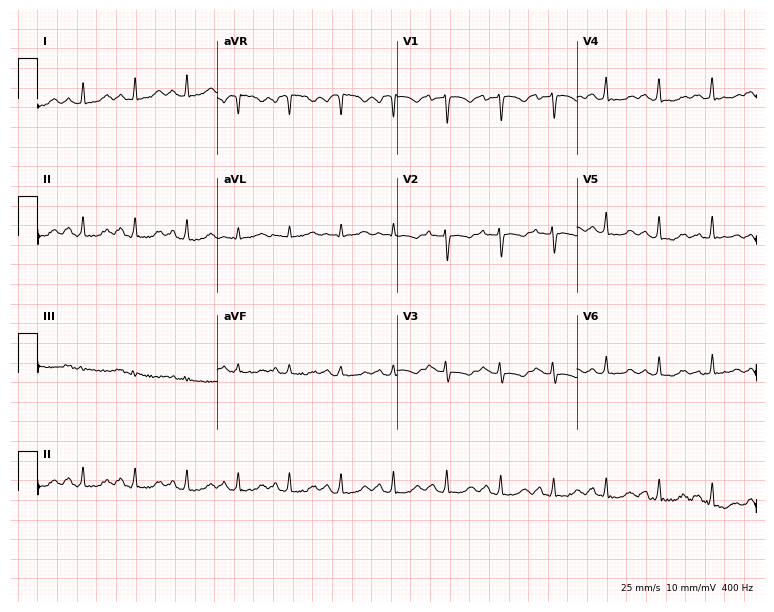
ECG — a female patient, 30 years old. Screened for six findings — first-degree AV block, right bundle branch block, left bundle branch block, sinus bradycardia, atrial fibrillation, sinus tachycardia — none is recorded. Only these six findings were labelled.